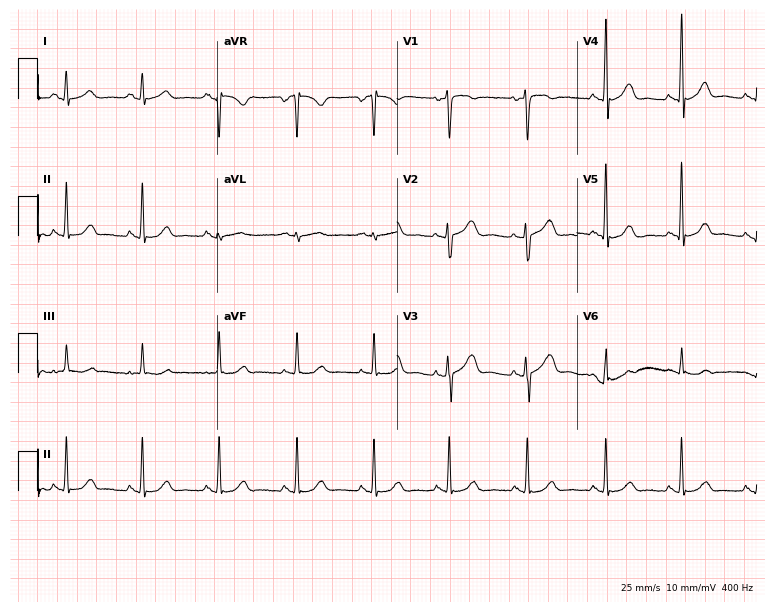
12-lead ECG (7.3-second recording at 400 Hz) from a 72-year-old woman. Screened for six findings — first-degree AV block, right bundle branch block, left bundle branch block, sinus bradycardia, atrial fibrillation, sinus tachycardia — none is recorded.